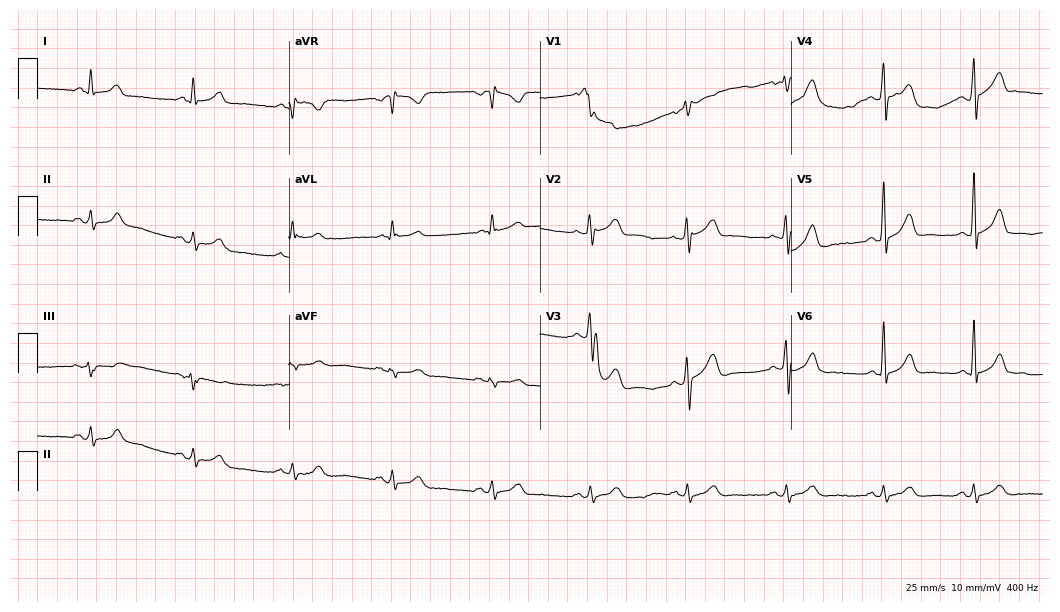
Resting 12-lead electrocardiogram (10.2-second recording at 400 Hz). Patient: a male, 68 years old. None of these six findings is recorded: first-degree AV block, right bundle branch block, left bundle branch block, sinus bradycardia, atrial fibrillation, sinus tachycardia.